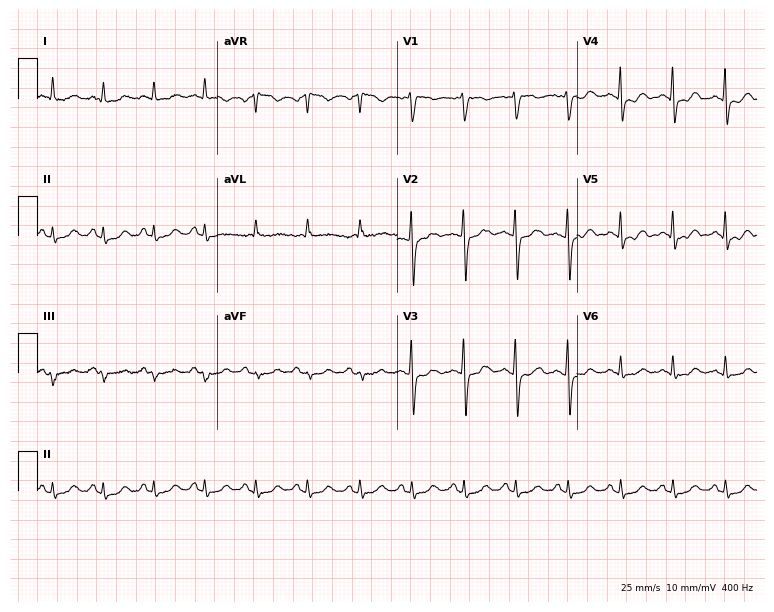
12-lead ECG (7.3-second recording at 400 Hz) from a 37-year-old female patient. Findings include sinus tachycardia (a sinus rate of 100 beats per minute or more).